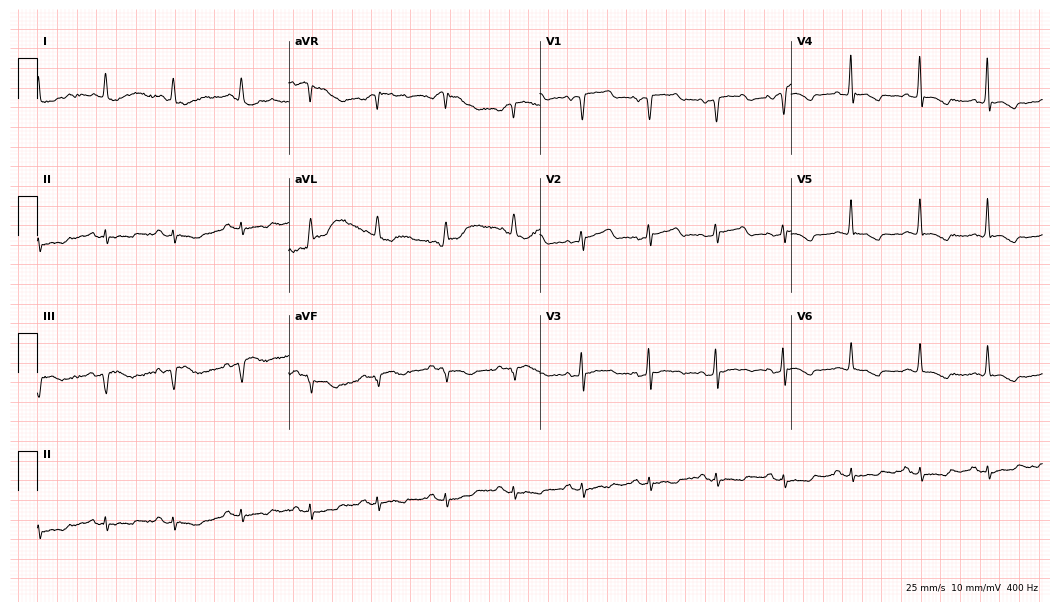
Resting 12-lead electrocardiogram (10.2-second recording at 400 Hz). Patient: a 75-year-old female. None of these six findings is recorded: first-degree AV block, right bundle branch block, left bundle branch block, sinus bradycardia, atrial fibrillation, sinus tachycardia.